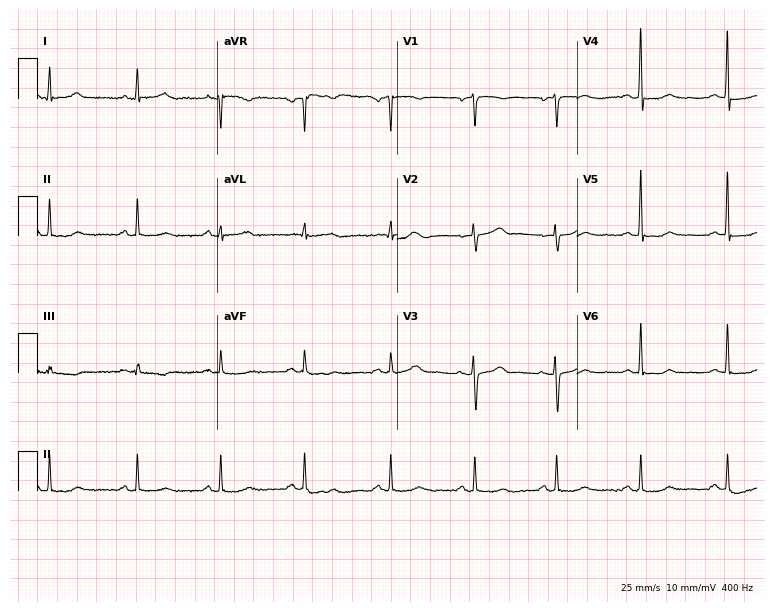
ECG — a female, 53 years old. Screened for six findings — first-degree AV block, right bundle branch block (RBBB), left bundle branch block (LBBB), sinus bradycardia, atrial fibrillation (AF), sinus tachycardia — none is recorded. Other findings, if any, are not listed.